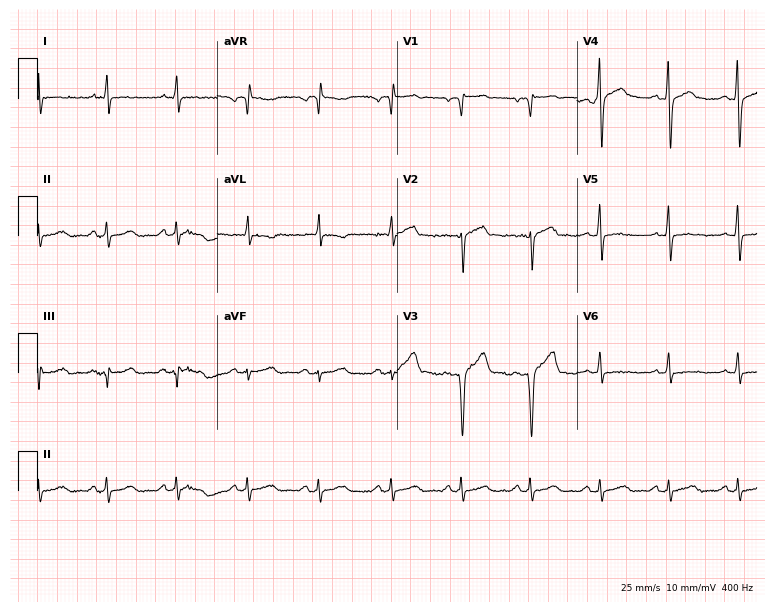
Standard 12-lead ECG recorded from a 70-year-old male patient. Read as a normal ECG.